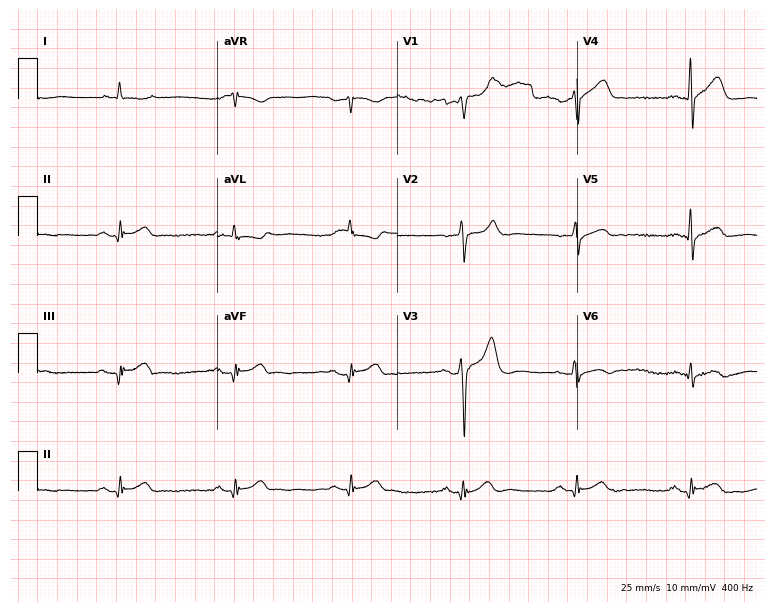
Resting 12-lead electrocardiogram (7.3-second recording at 400 Hz). Patient: a 73-year-old man. None of these six findings is recorded: first-degree AV block, right bundle branch block, left bundle branch block, sinus bradycardia, atrial fibrillation, sinus tachycardia. Other findings, if any, are not listed.